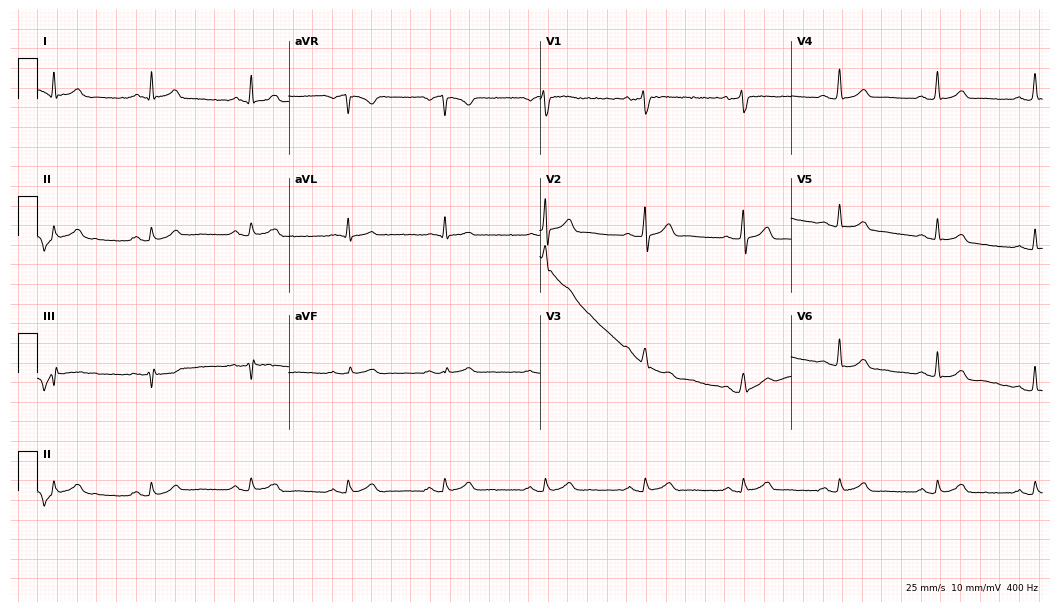
12-lead ECG (10.2-second recording at 400 Hz) from a 62-year-old male patient. Labelled as a normal ECG.